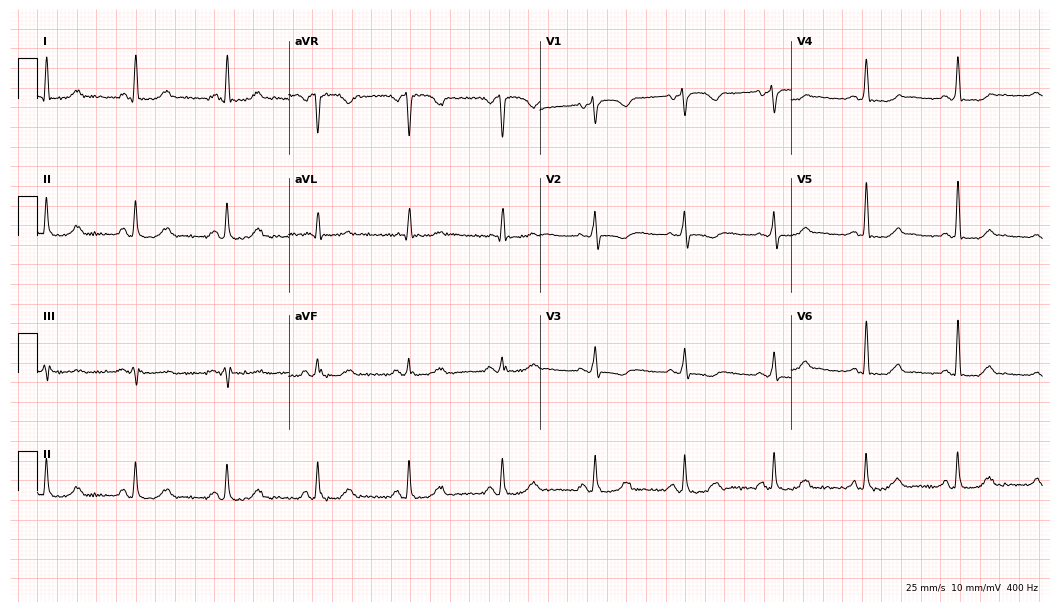
Standard 12-lead ECG recorded from a 51-year-old woman (10.2-second recording at 400 Hz). None of these six findings is recorded: first-degree AV block, right bundle branch block, left bundle branch block, sinus bradycardia, atrial fibrillation, sinus tachycardia.